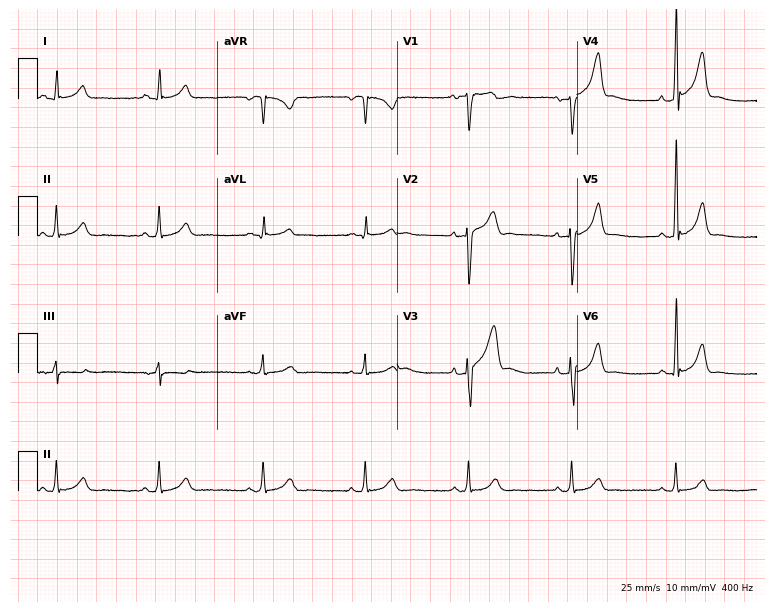
Electrocardiogram (7.3-second recording at 400 Hz), a man, 48 years old. Of the six screened findings (first-degree AV block, right bundle branch block (RBBB), left bundle branch block (LBBB), sinus bradycardia, atrial fibrillation (AF), sinus tachycardia), none is recorded.